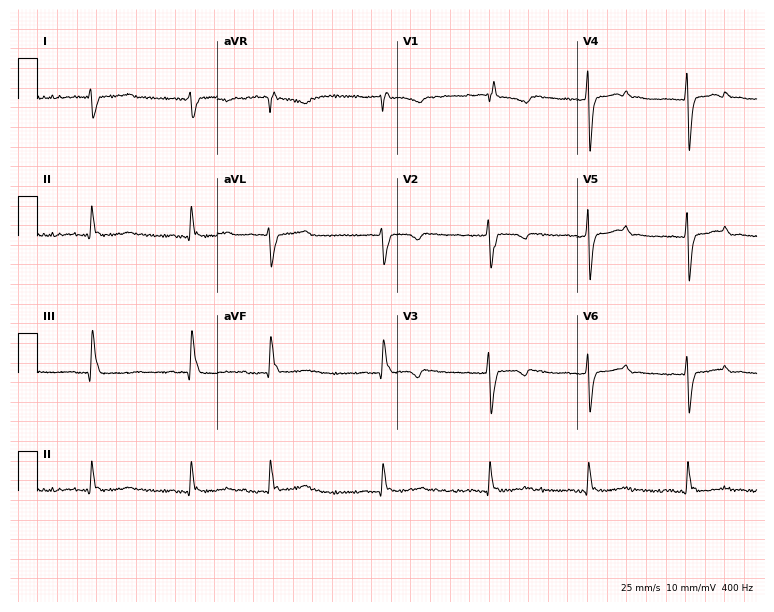
Electrocardiogram (7.3-second recording at 400 Hz), a female, 63 years old. Interpretation includes right bundle branch block, atrial fibrillation.